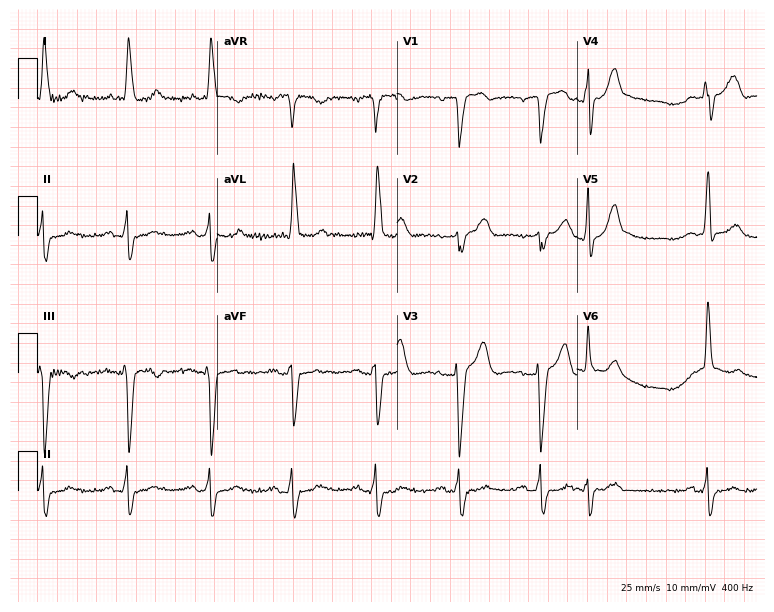
Electrocardiogram, a female patient, 65 years old. Interpretation includes left bundle branch block (LBBB).